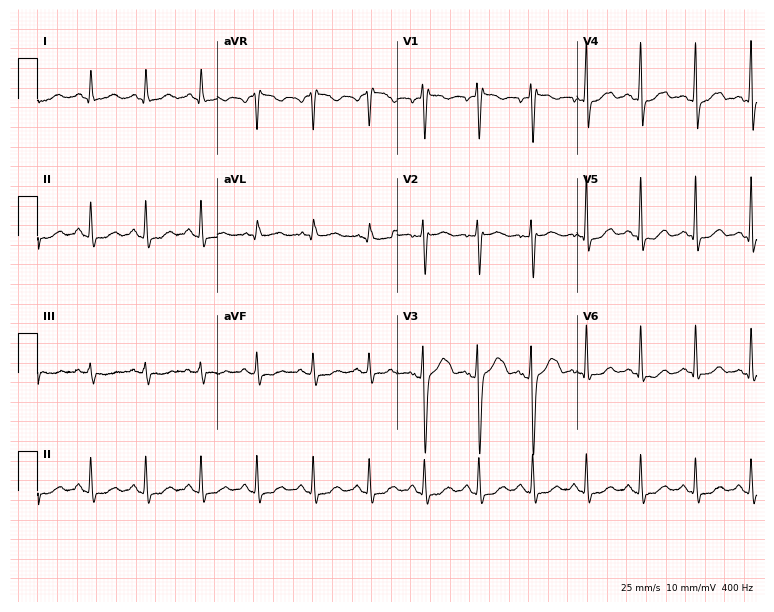
12-lead ECG (7.3-second recording at 400 Hz) from a 36-year-old female. Findings include sinus tachycardia (a sinus rate of 100 beats per minute or more).